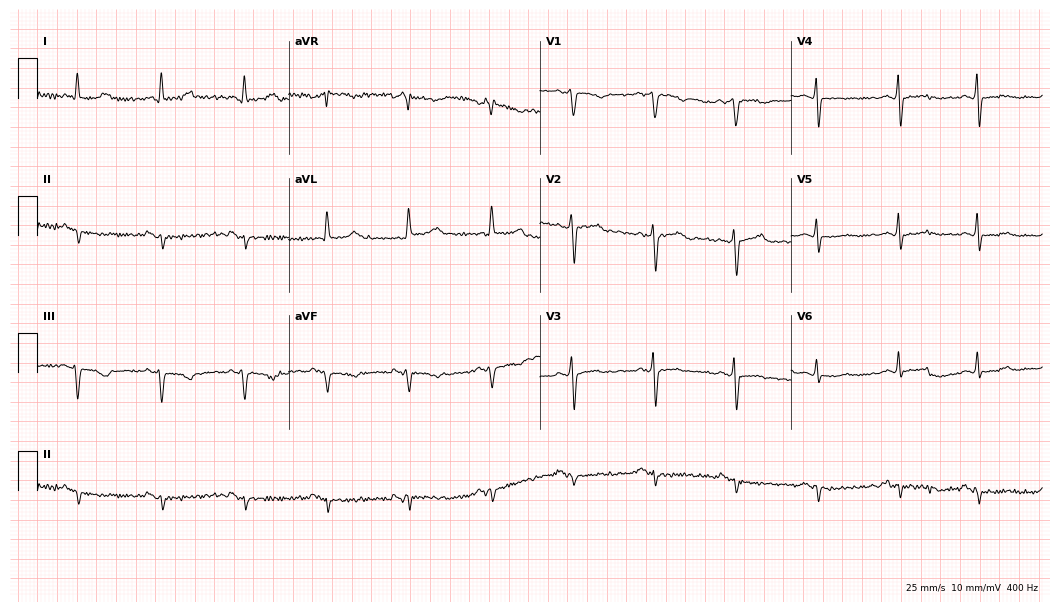
Resting 12-lead electrocardiogram (10.2-second recording at 400 Hz). Patient: a 60-year-old female. None of these six findings is recorded: first-degree AV block, right bundle branch block (RBBB), left bundle branch block (LBBB), sinus bradycardia, atrial fibrillation (AF), sinus tachycardia. Other findings, if any, are not listed.